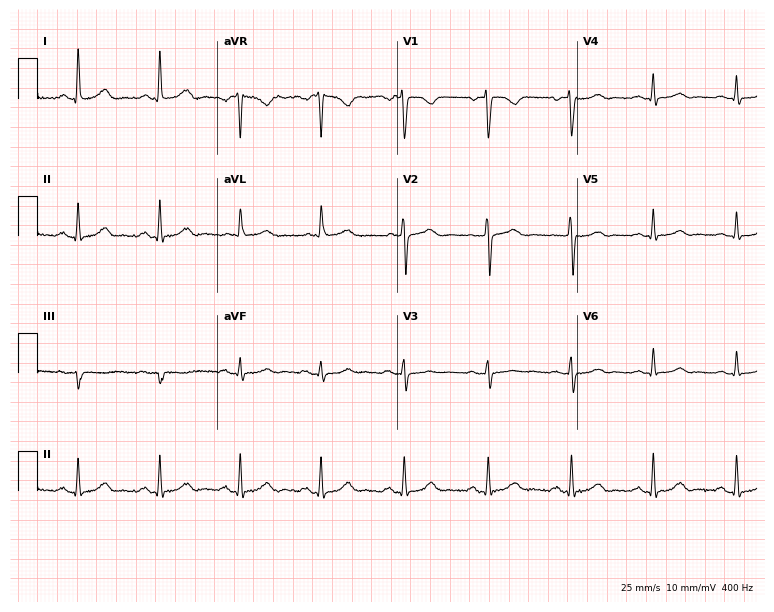
Standard 12-lead ECG recorded from a 74-year-old woman (7.3-second recording at 400 Hz). Read as a normal ECG.